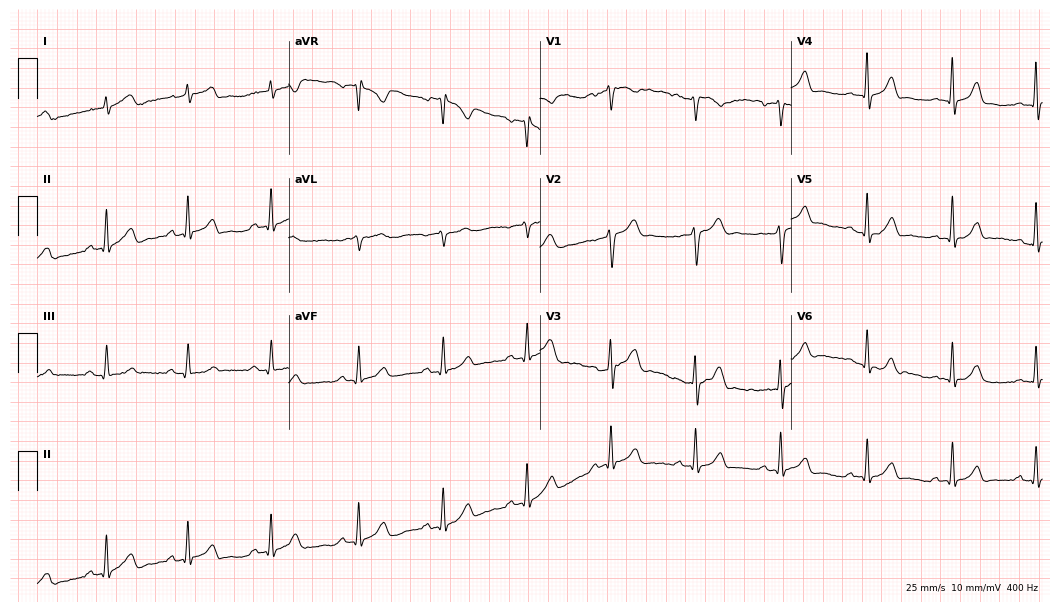
12-lead ECG from a man, 23 years old. Screened for six findings — first-degree AV block, right bundle branch block (RBBB), left bundle branch block (LBBB), sinus bradycardia, atrial fibrillation (AF), sinus tachycardia — none is recorded. Other findings, if any, are not listed.